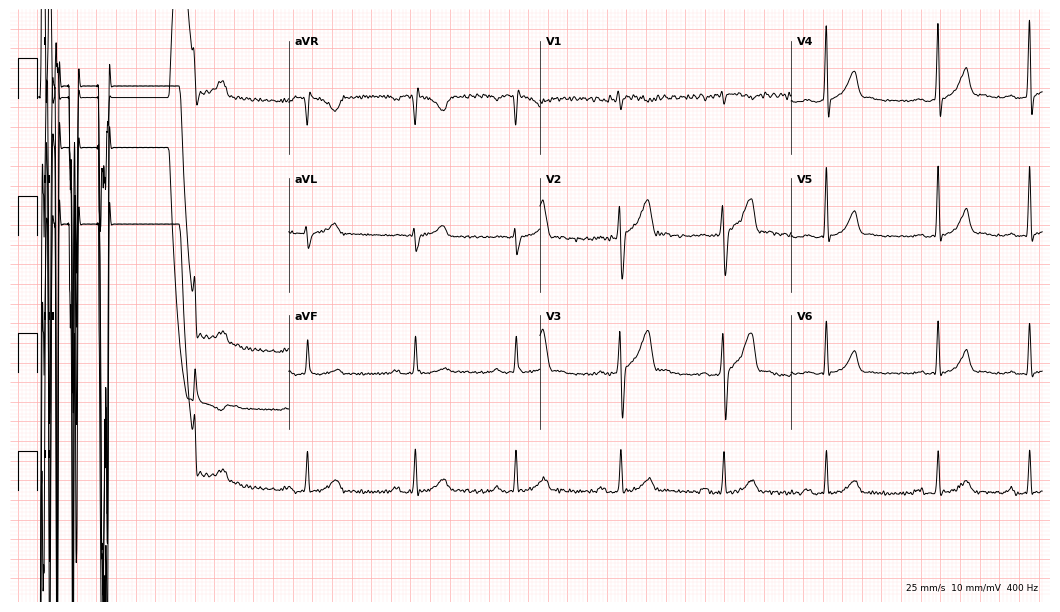
12-lead ECG from a male patient, 28 years old. No first-degree AV block, right bundle branch block (RBBB), left bundle branch block (LBBB), sinus bradycardia, atrial fibrillation (AF) or sinus tachycardia recorded for this tracing. Other findings, if any, are not listed.